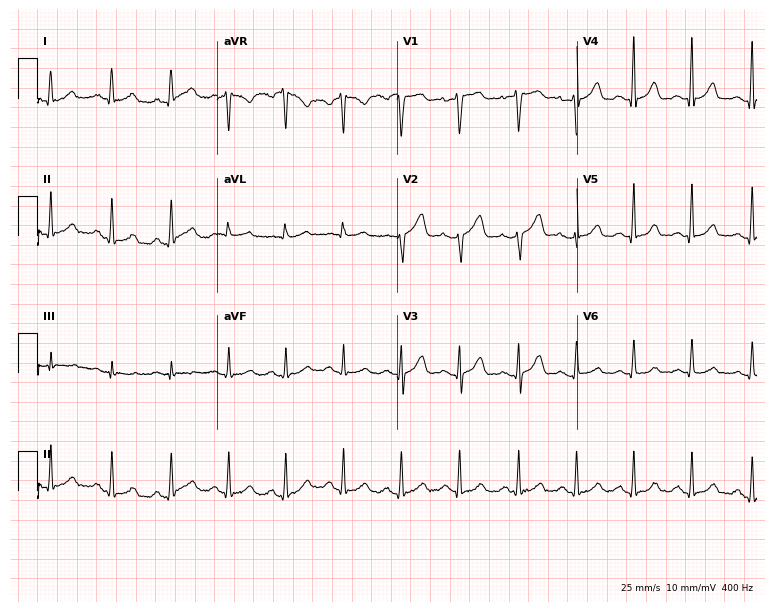
12-lead ECG from a female, 50 years old (7.3-second recording at 400 Hz). Shows sinus tachycardia (a sinus rate of 100 beats per minute or more).